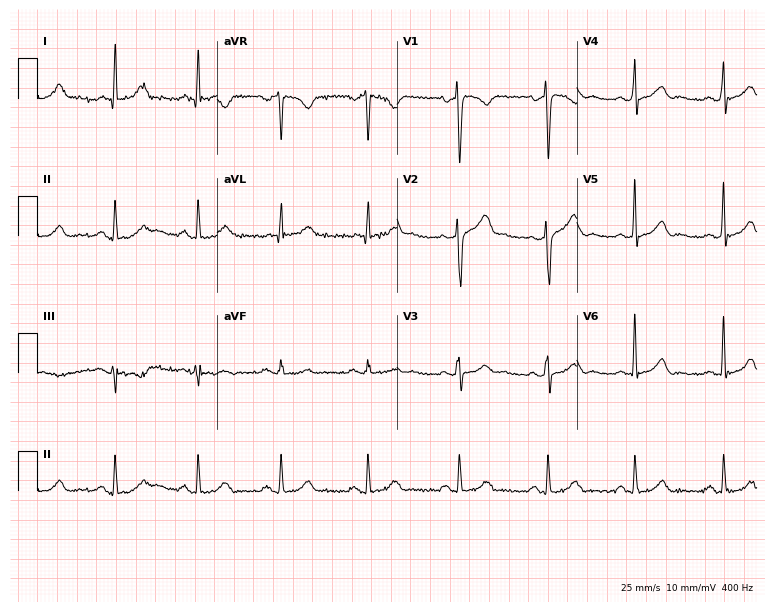
12-lead ECG from a male, 38 years old (7.3-second recording at 400 Hz). Recorded interpretation: within normal limits.